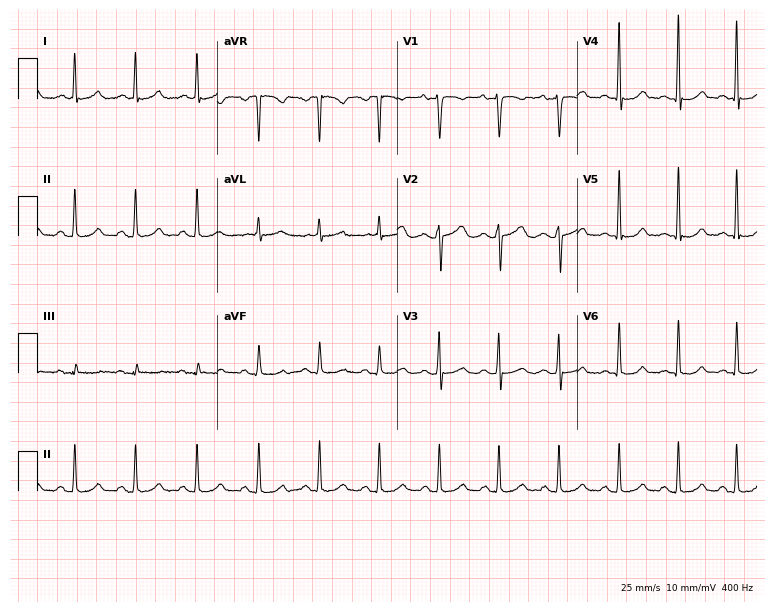
Resting 12-lead electrocardiogram (7.3-second recording at 400 Hz). Patient: a female, 32 years old. Read as a normal ECG.